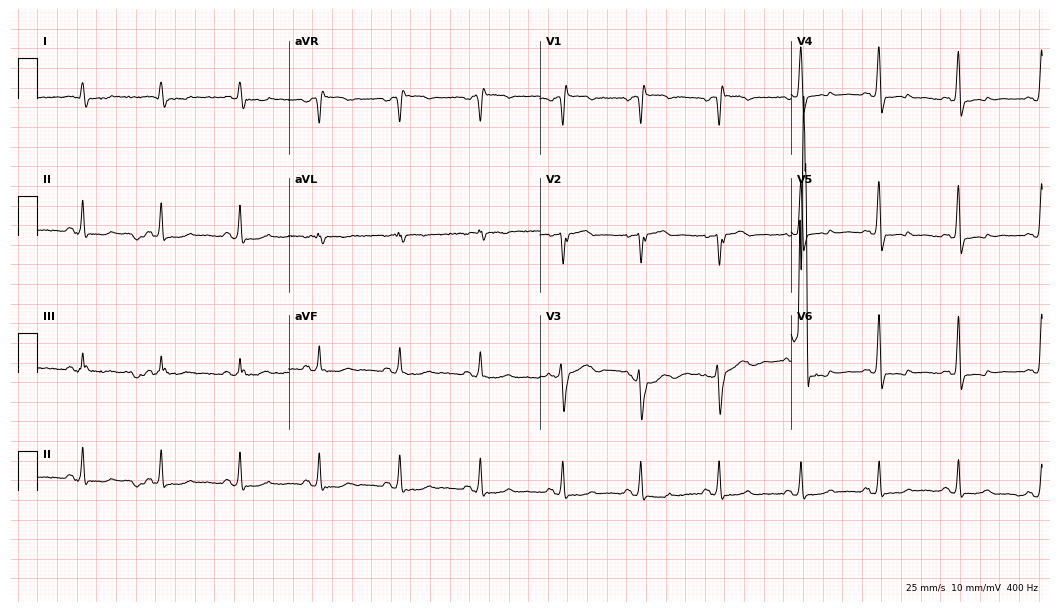
Standard 12-lead ECG recorded from a male patient, 76 years old. None of these six findings is recorded: first-degree AV block, right bundle branch block, left bundle branch block, sinus bradycardia, atrial fibrillation, sinus tachycardia.